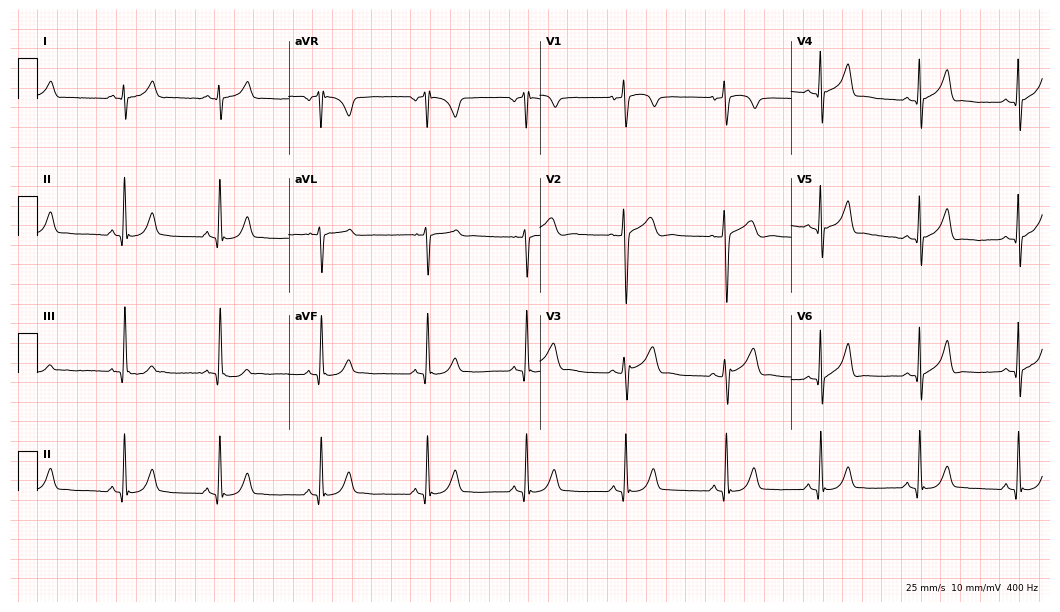
ECG — a 17-year-old man. Labelled as a normal ECG.